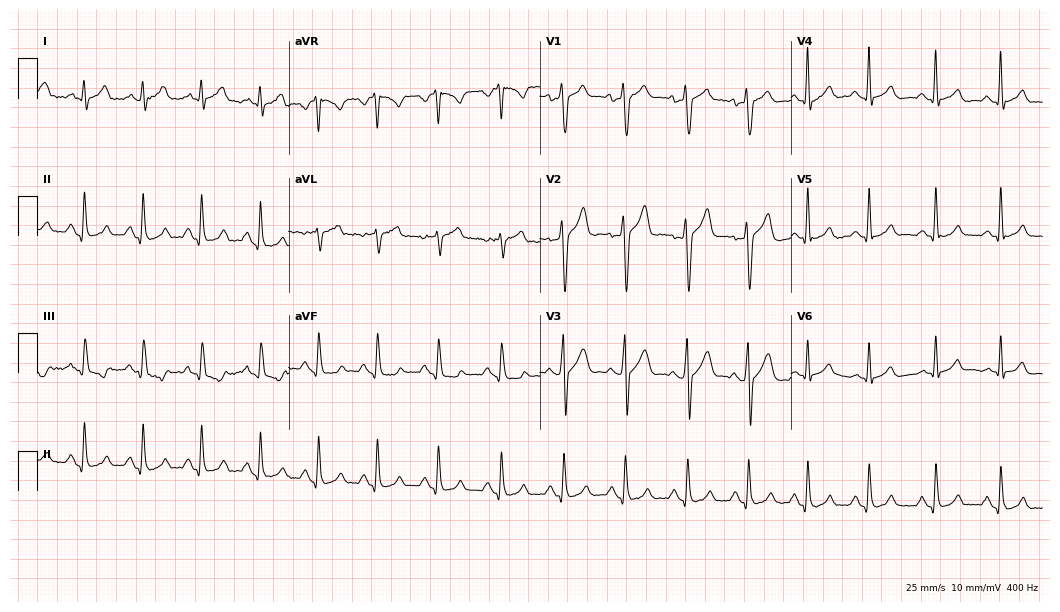
Resting 12-lead electrocardiogram (10.2-second recording at 400 Hz). Patient: a 22-year-old male. Read as a normal ECG.